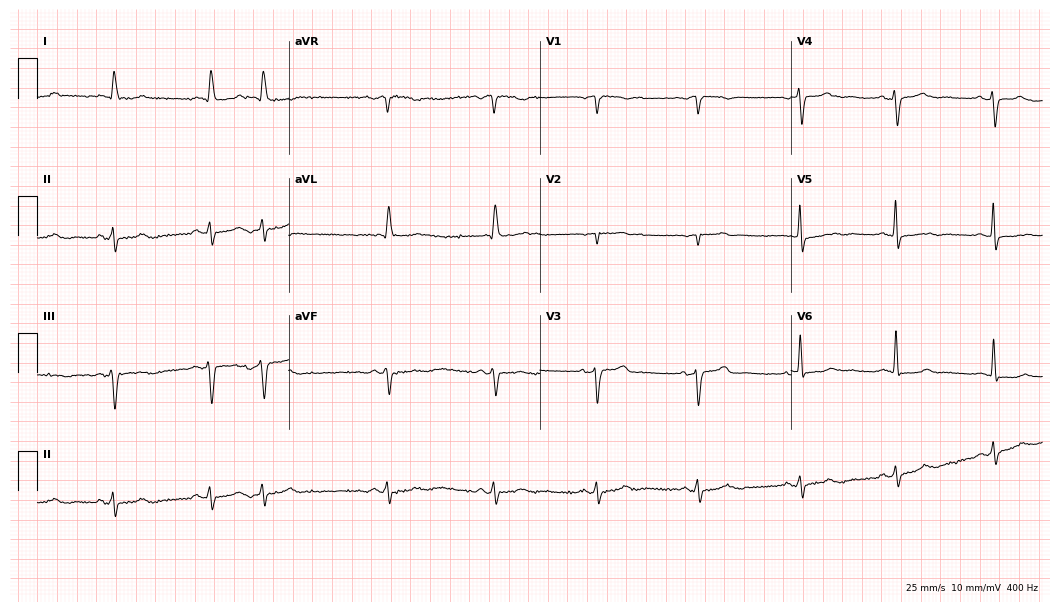
Electrocardiogram, a female, 68 years old. Of the six screened findings (first-degree AV block, right bundle branch block, left bundle branch block, sinus bradycardia, atrial fibrillation, sinus tachycardia), none is recorded. Findings outside these six are not listed.